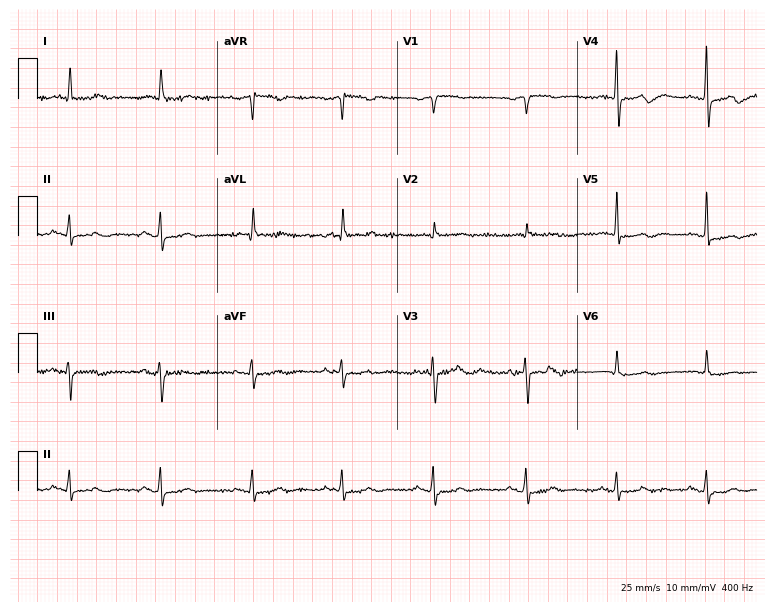
ECG — an 80-year-old female patient. Screened for six findings — first-degree AV block, right bundle branch block, left bundle branch block, sinus bradycardia, atrial fibrillation, sinus tachycardia — none is recorded.